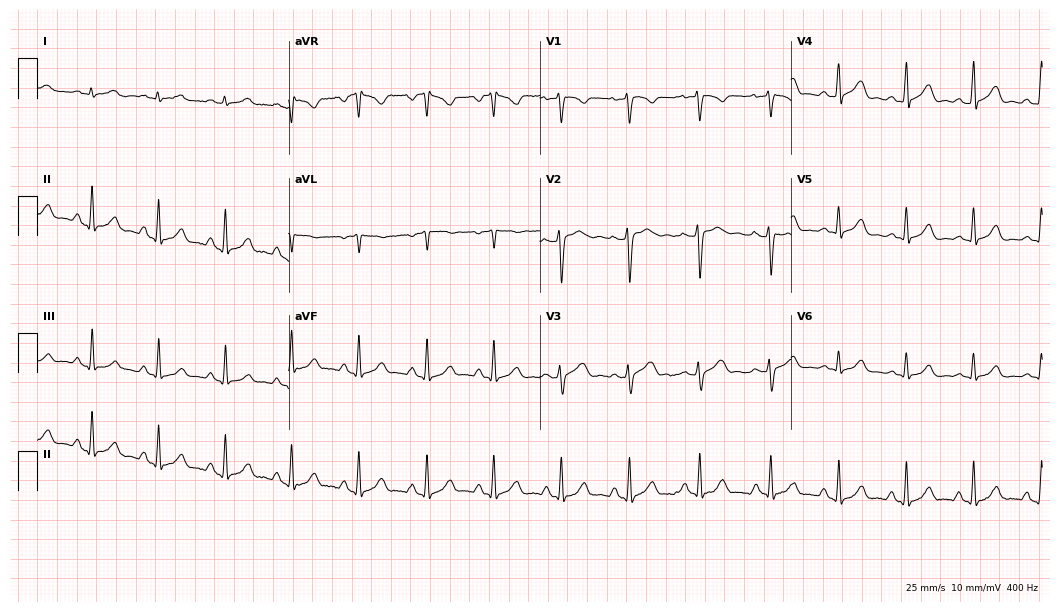
Standard 12-lead ECG recorded from a man, 52 years old (10.2-second recording at 400 Hz). Read as a normal ECG.